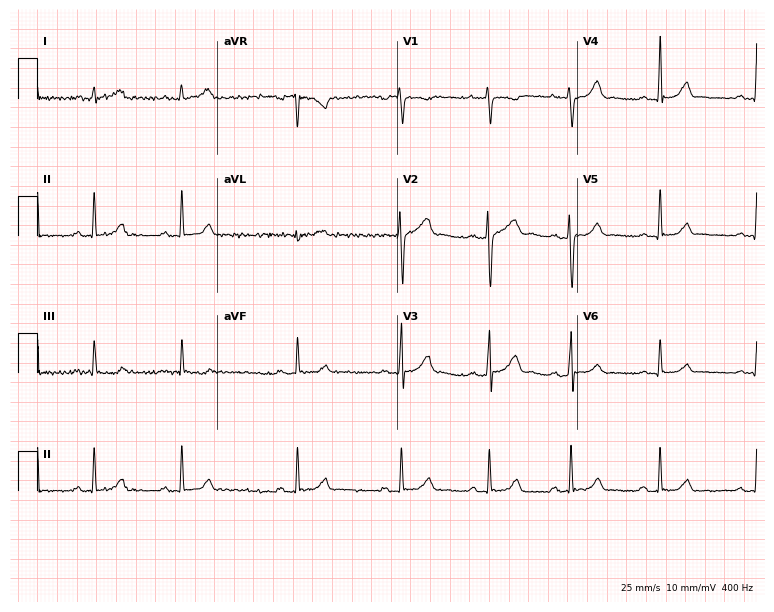
Resting 12-lead electrocardiogram (7.3-second recording at 400 Hz). Patient: a 29-year-old male. Read as a normal ECG.